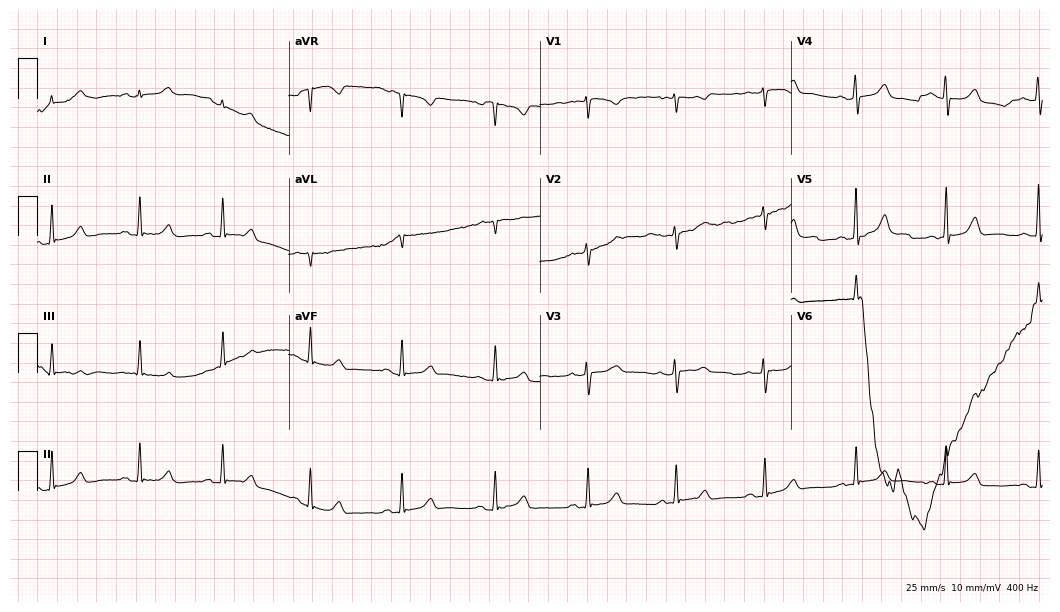
12-lead ECG from a female, 42 years old (10.2-second recording at 400 Hz). No first-degree AV block, right bundle branch block (RBBB), left bundle branch block (LBBB), sinus bradycardia, atrial fibrillation (AF) or sinus tachycardia recorded for this tracing.